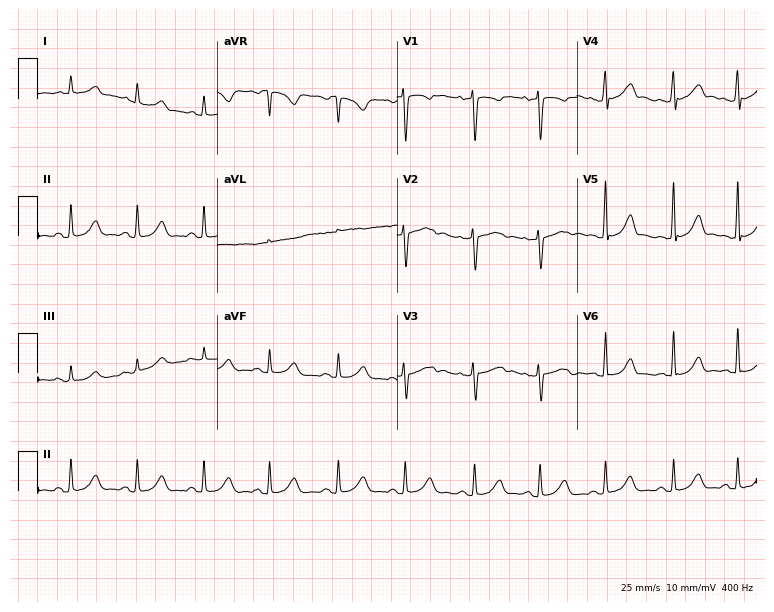
Resting 12-lead electrocardiogram (7.3-second recording at 400 Hz). Patient: a female, 50 years old. None of these six findings is recorded: first-degree AV block, right bundle branch block, left bundle branch block, sinus bradycardia, atrial fibrillation, sinus tachycardia. Findings outside these six are not listed.